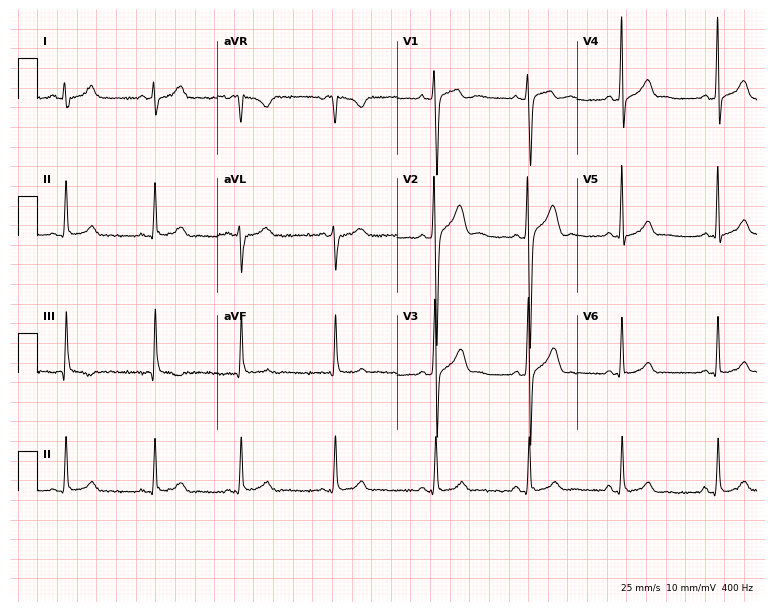
12-lead ECG from a male patient, 29 years old. No first-degree AV block, right bundle branch block, left bundle branch block, sinus bradycardia, atrial fibrillation or sinus tachycardia recorded for this tracing.